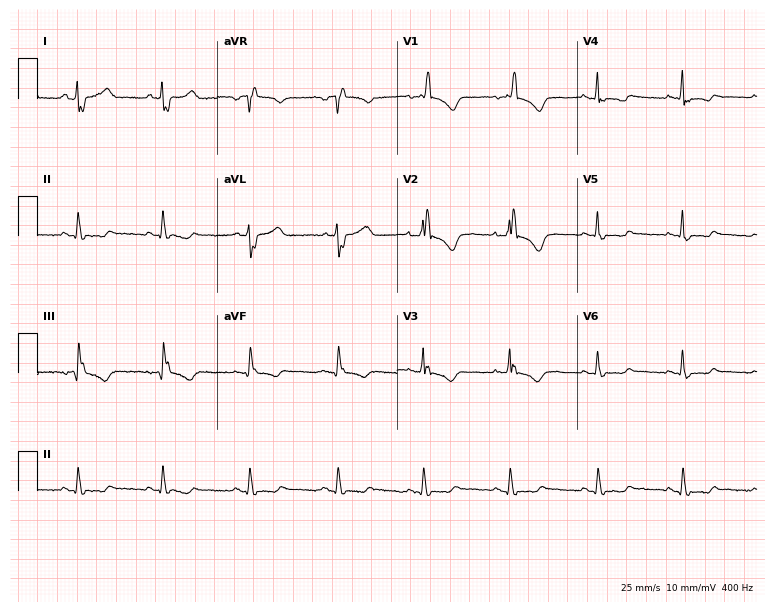
12-lead ECG (7.3-second recording at 400 Hz) from a 67-year-old female. Screened for six findings — first-degree AV block, right bundle branch block (RBBB), left bundle branch block (LBBB), sinus bradycardia, atrial fibrillation (AF), sinus tachycardia — none is recorded. Other findings, if any, are not listed.